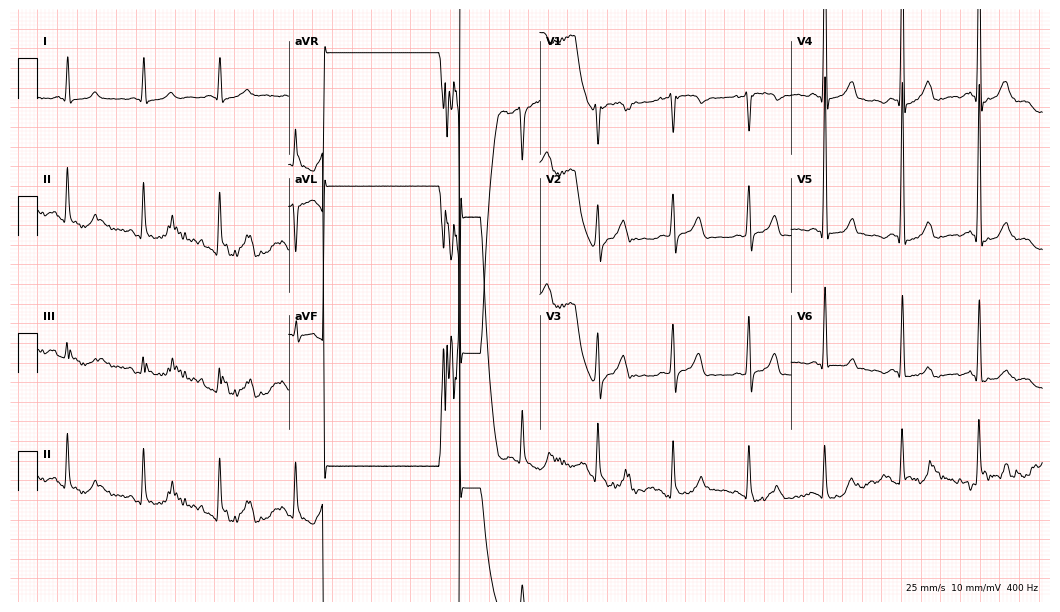
12-lead ECG from an 83-year-old male. No first-degree AV block, right bundle branch block (RBBB), left bundle branch block (LBBB), sinus bradycardia, atrial fibrillation (AF) or sinus tachycardia recorded for this tracing.